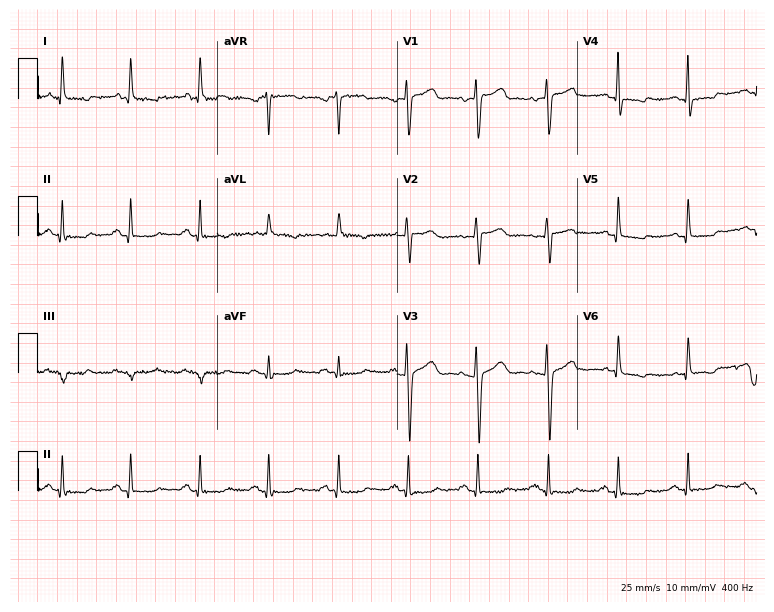
Resting 12-lead electrocardiogram. Patient: a 39-year-old female. None of these six findings is recorded: first-degree AV block, right bundle branch block (RBBB), left bundle branch block (LBBB), sinus bradycardia, atrial fibrillation (AF), sinus tachycardia. Other findings, if any, are not listed.